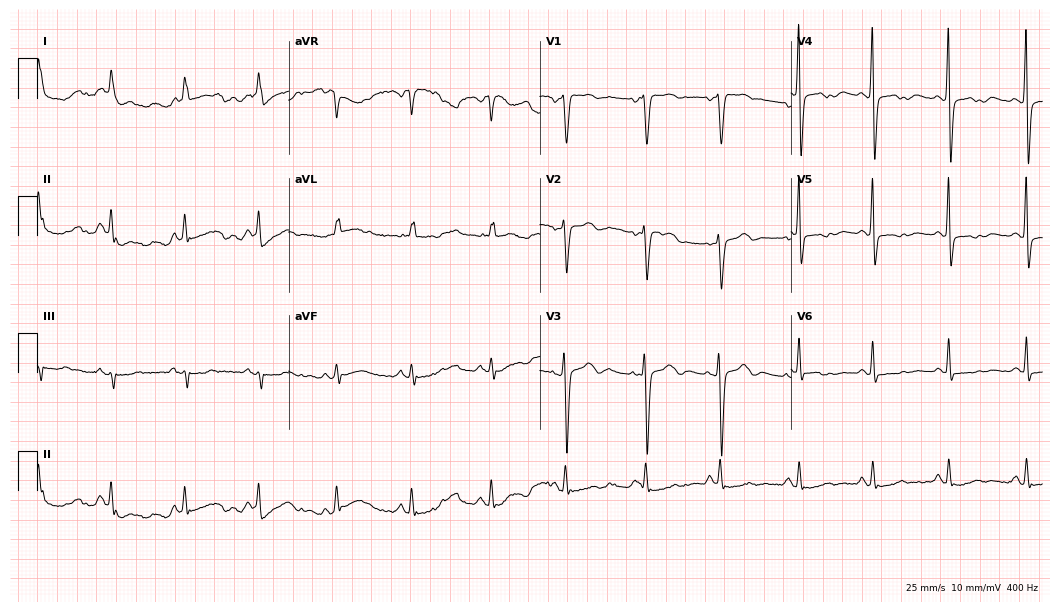
Resting 12-lead electrocardiogram. Patient: a 71-year-old woman. None of these six findings is recorded: first-degree AV block, right bundle branch block (RBBB), left bundle branch block (LBBB), sinus bradycardia, atrial fibrillation (AF), sinus tachycardia.